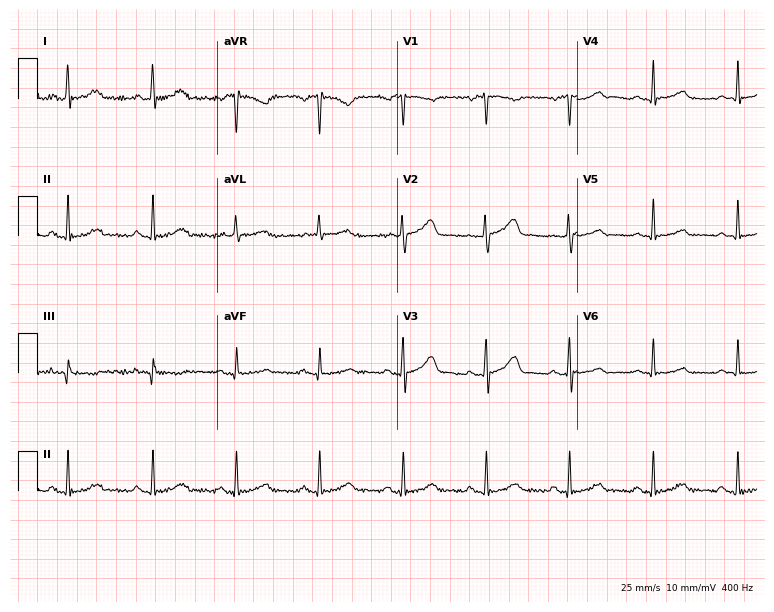
Electrocardiogram (7.3-second recording at 400 Hz), a 50-year-old woman. Overall reading on record: normal ECG.